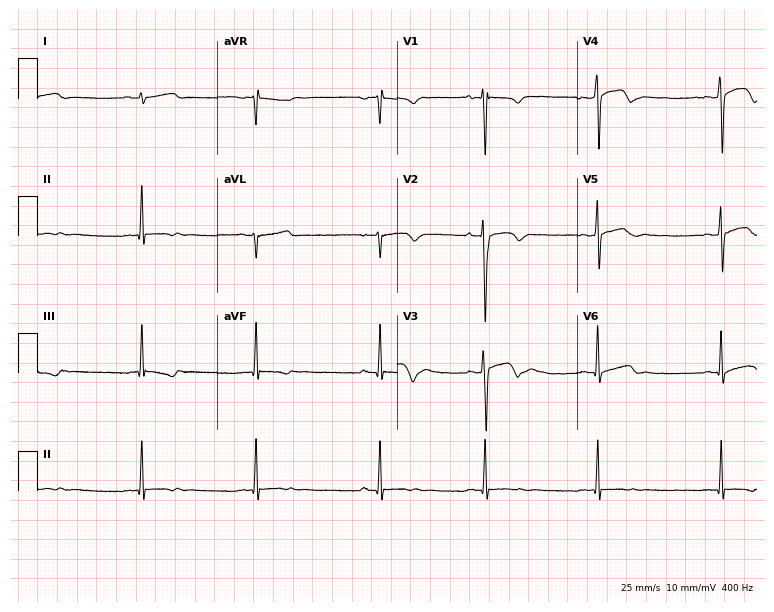
Electrocardiogram (7.3-second recording at 400 Hz), a male patient, 17 years old. Of the six screened findings (first-degree AV block, right bundle branch block, left bundle branch block, sinus bradycardia, atrial fibrillation, sinus tachycardia), none is recorded.